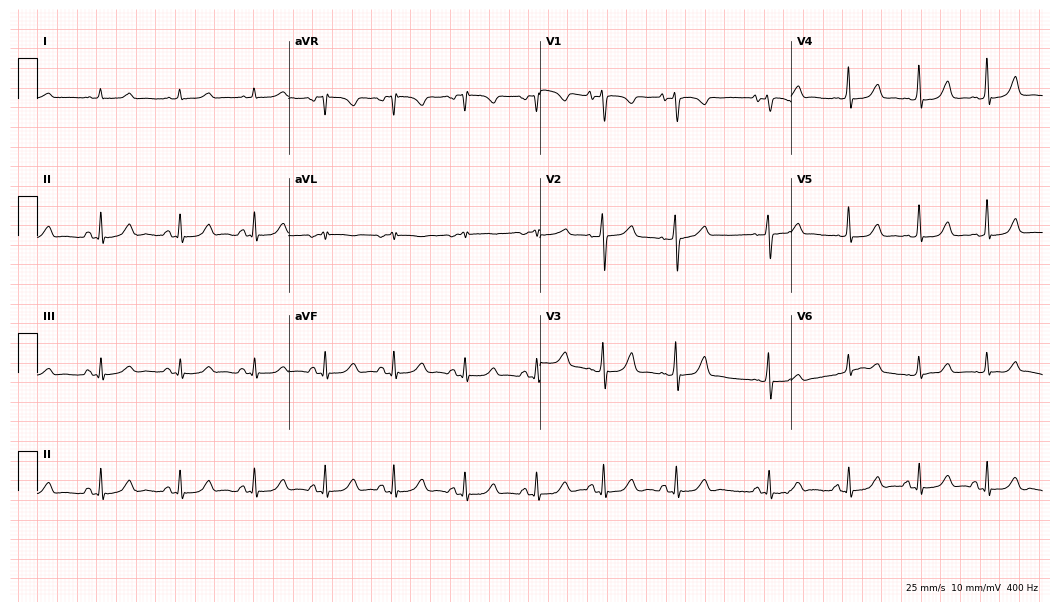
ECG (10.2-second recording at 400 Hz) — a female patient, 55 years old. Labelled as a normal ECG.